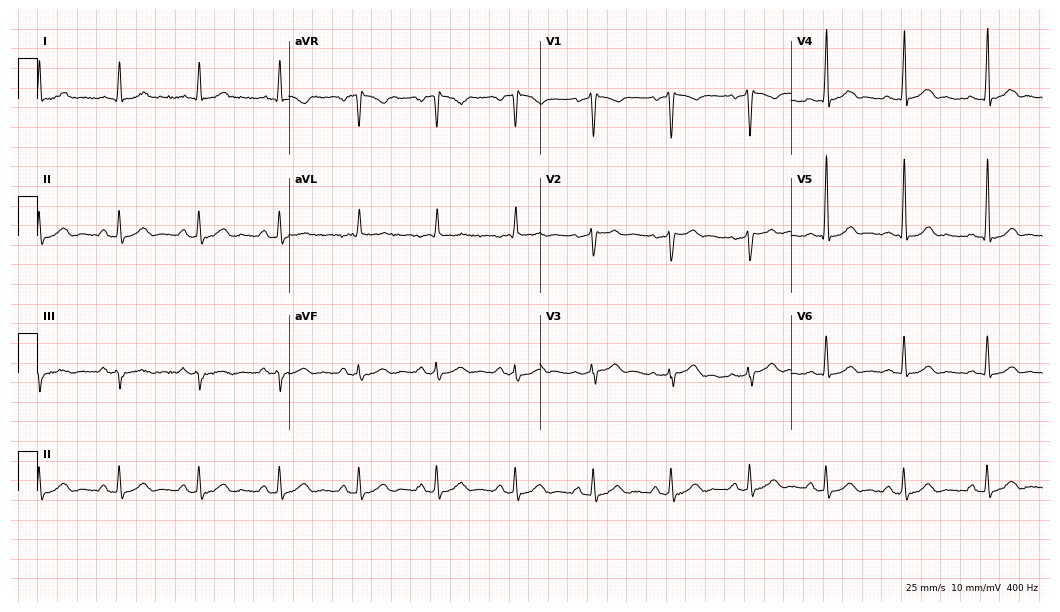
Electrocardiogram, a 43-year-old male. Of the six screened findings (first-degree AV block, right bundle branch block, left bundle branch block, sinus bradycardia, atrial fibrillation, sinus tachycardia), none is recorded.